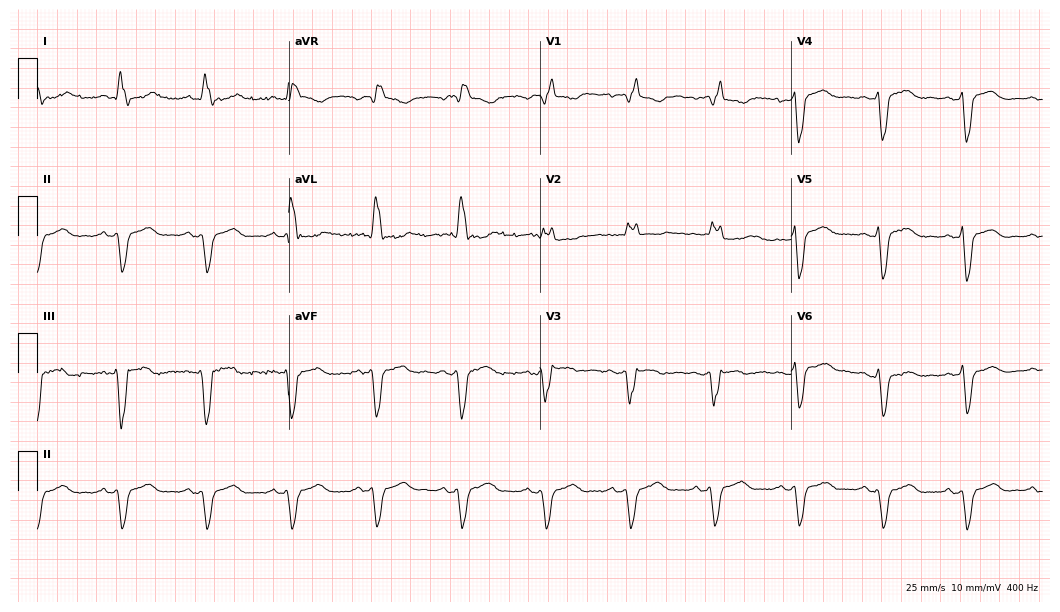
Resting 12-lead electrocardiogram (10.2-second recording at 400 Hz). Patient: a female, 70 years old. The tracing shows right bundle branch block (RBBB).